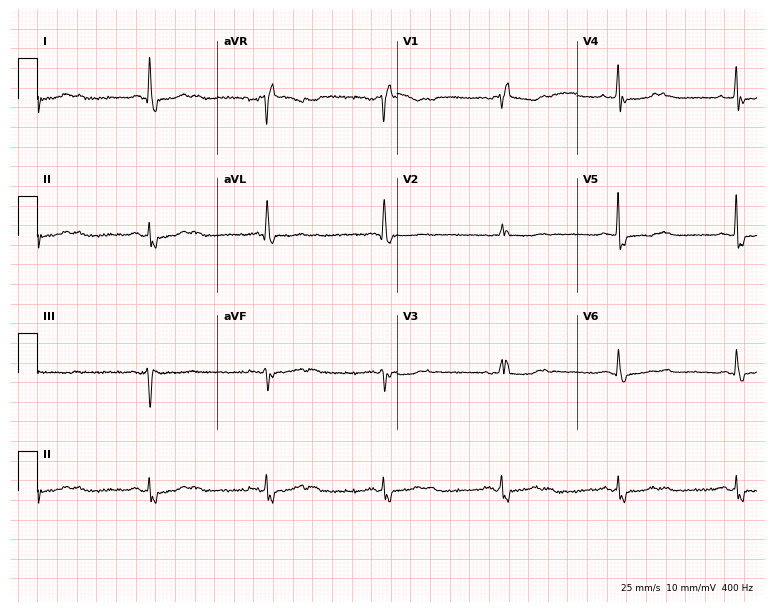
Standard 12-lead ECG recorded from a male, 79 years old (7.3-second recording at 400 Hz). The tracing shows right bundle branch block (RBBB), sinus bradycardia (a sinus rate of 50 beats per minute or less).